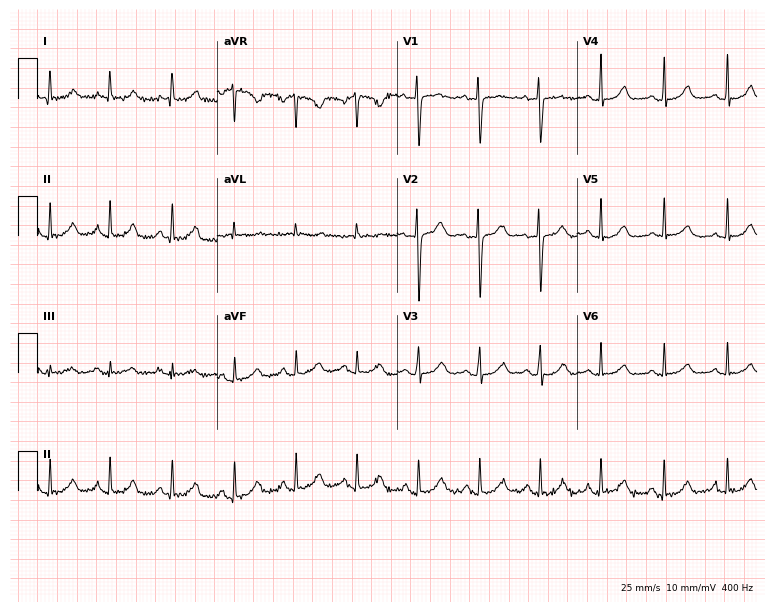
12-lead ECG (7.3-second recording at 400 Hz) from a female, 28 years old. Labelled as a normal ECG.